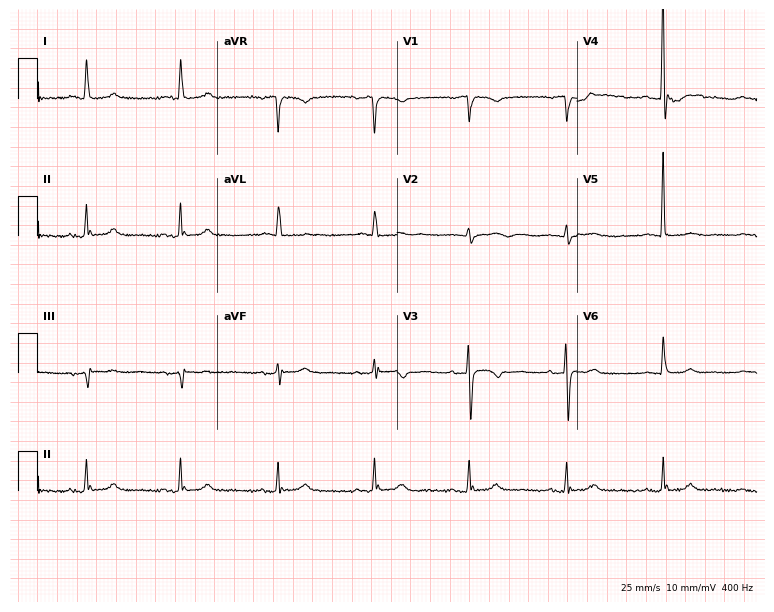
ECG (7.3-second recording at 400 Hz) — a 79-year-old female patient. Screened for six findings — first-degree AV block, right bundle branch block (RBBB), left bundle branch block (LBBB), sinus bradycardia, atrial fibrillation (AF), sinus tachycardia — none is recorded. Other findings, if any, are not listed.